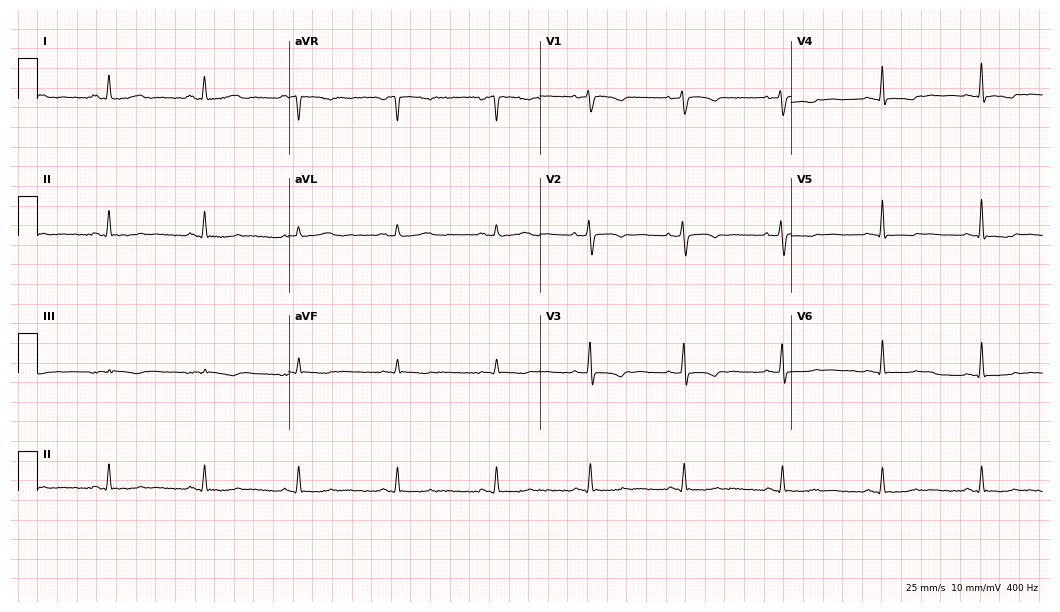
ECG — a 58-year-old female patient. Screened for six findings — first-degree AV block, right bundle branch block, left bundle branch block, sinus bradycardia, atrial fibrillation, sinus tachycardia — none is recorded. Other findings, if any, are not listed.